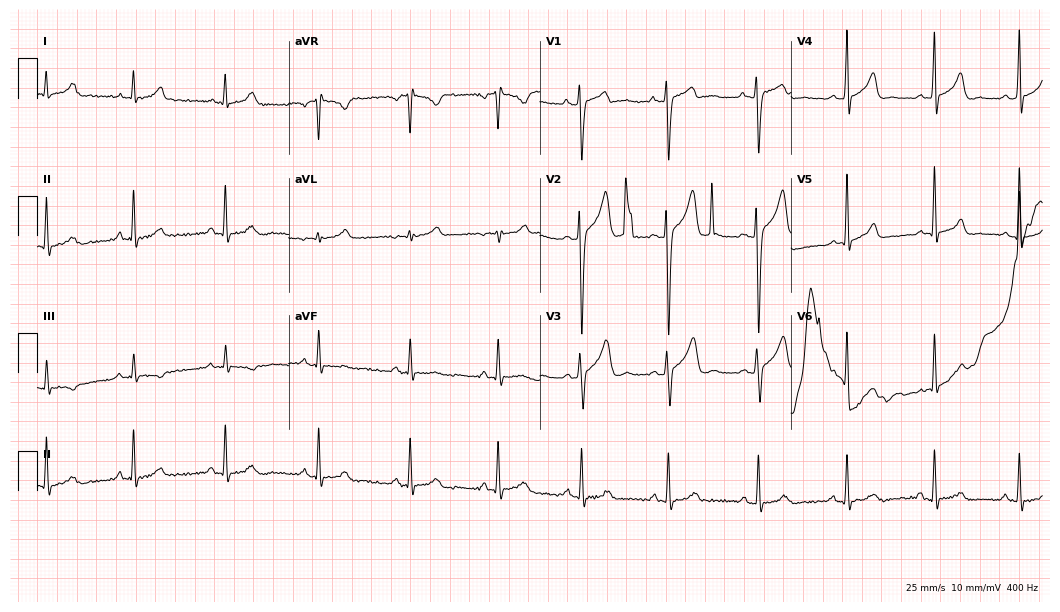
12-lead ECG (10.2-second recording at 400 Hz) from a male, 24 years old. Labelled as a normal ECG.